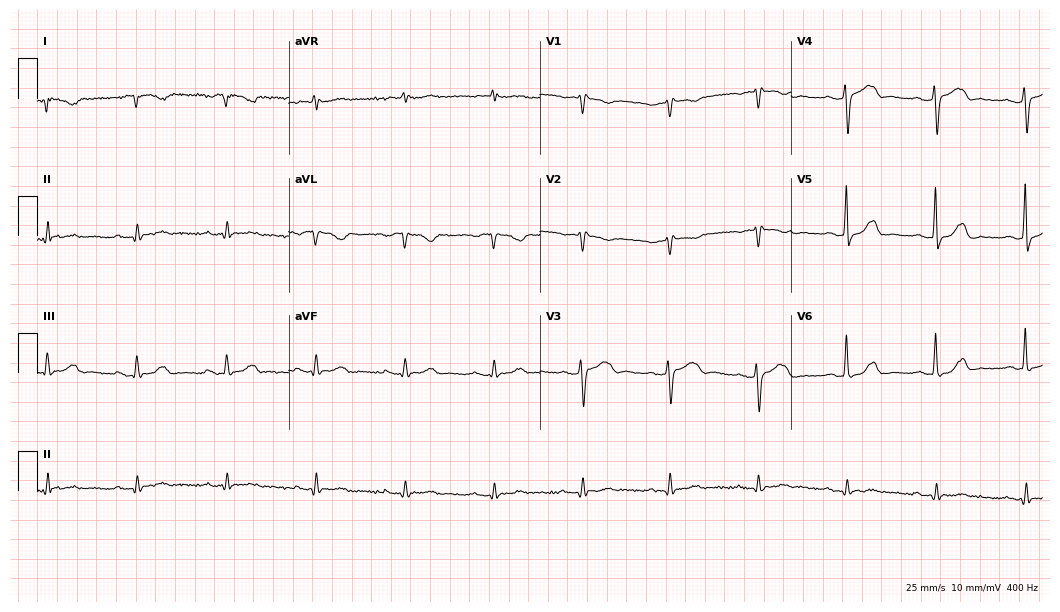
Standard 12-lead ECG recorded from a female patient, 81 years old. None of these six findings is recorded: first-degree AV block, right bundle branch block (RBBB), left bundle branch block (LBBB), sinus bradycardia, atrial fibrillation (AF), sinus tachycardia.